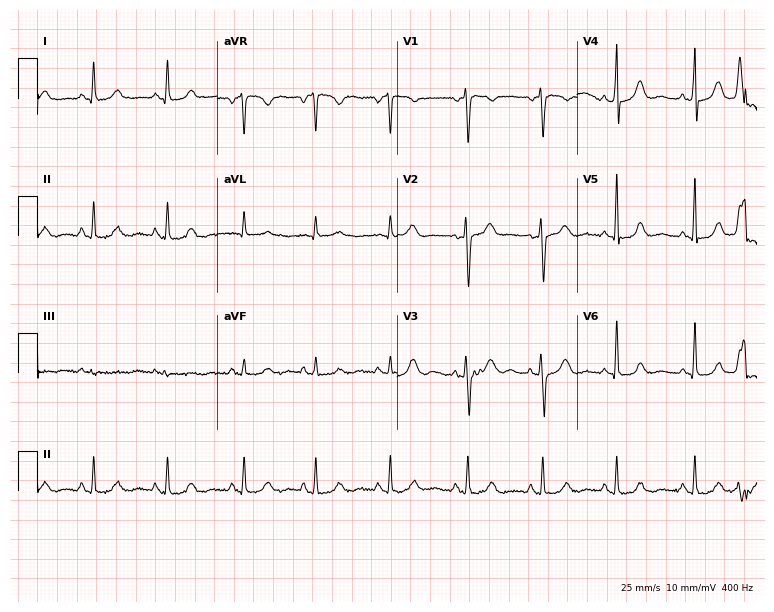
12-lead ECG from a 40-year-old female (7.3-second recording at 400 Hz). No first-degree AV block, right bundle branch block, left bundle branch block, sinus bradycardia, atrial fibrillation or sinus tachycardia recorded for this tracing.